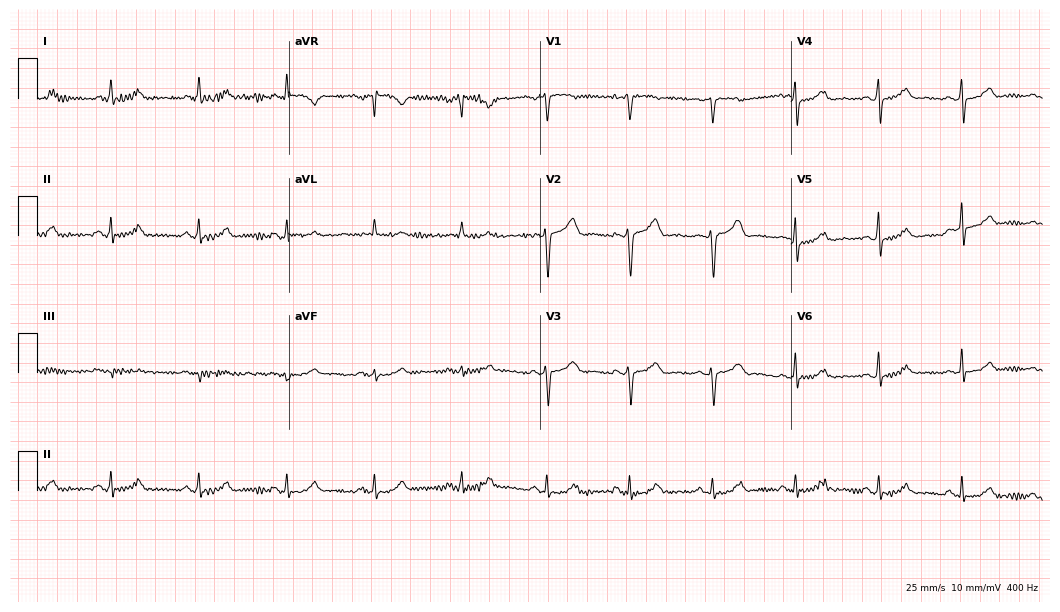
Electrocardiogram (10.2-second recording at 400 Hz), a 48-year-old female. Overall reading on record: normal ECG.